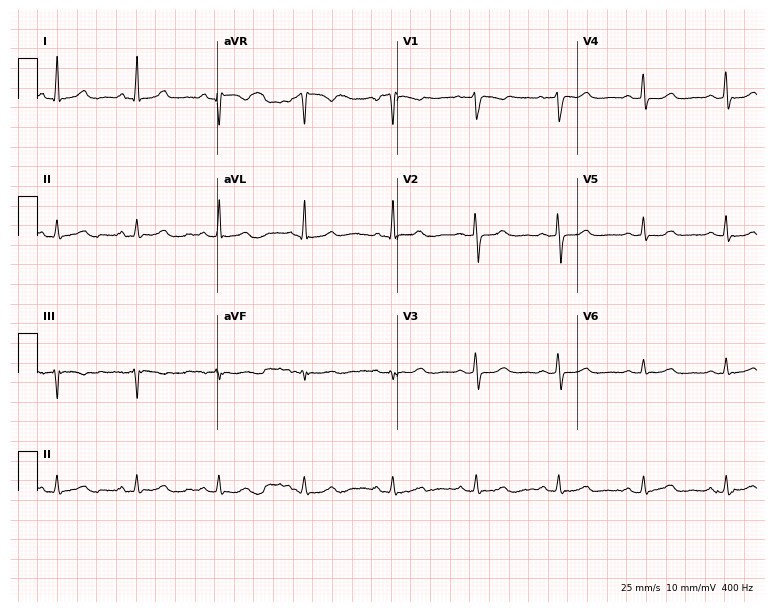
Standard 12-lead ECG recorded from a female patient, 58 years old. Read as a normal ECG.